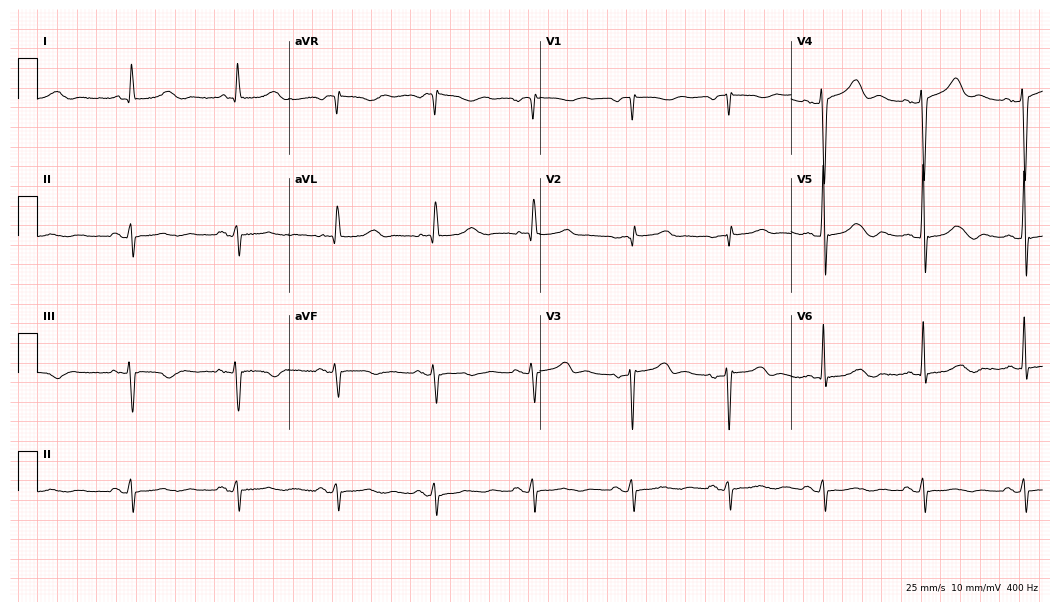
Standard 12-lead ECG recorded from an 80-year-old female patient (10.2-second recording at 400 Hz). None of these six findings is recorded: first-degree AV block, right bundle branch block, left bundle branch block, sinus bradycardia, atrial fibrillation, sinus tachycardia.